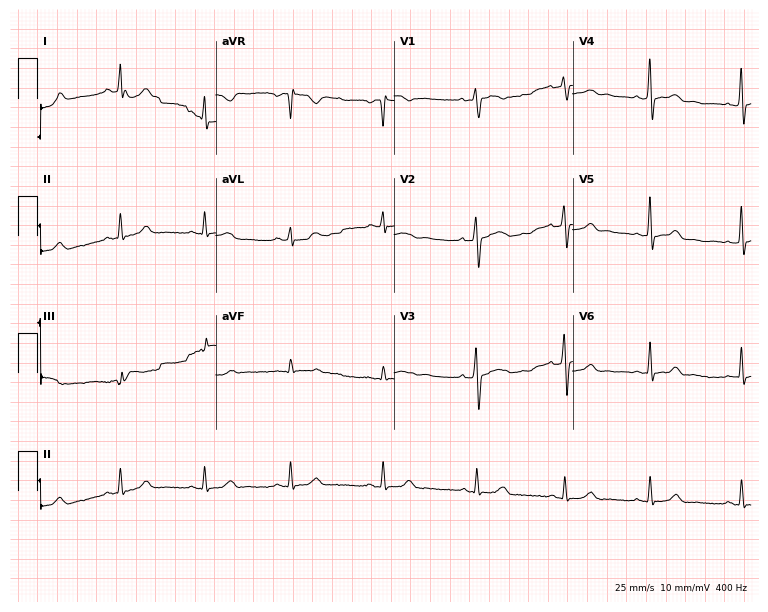
Resting 12-lead electrocardiogram. Patient: a female, 26 years old. None of these six findings is recorded: first-degree AV block, right bundle branch block (RBBB), left bundle branch block (LBBB), sinus bradycardia, atrial fibrillation (AF), sinus tachycardia.